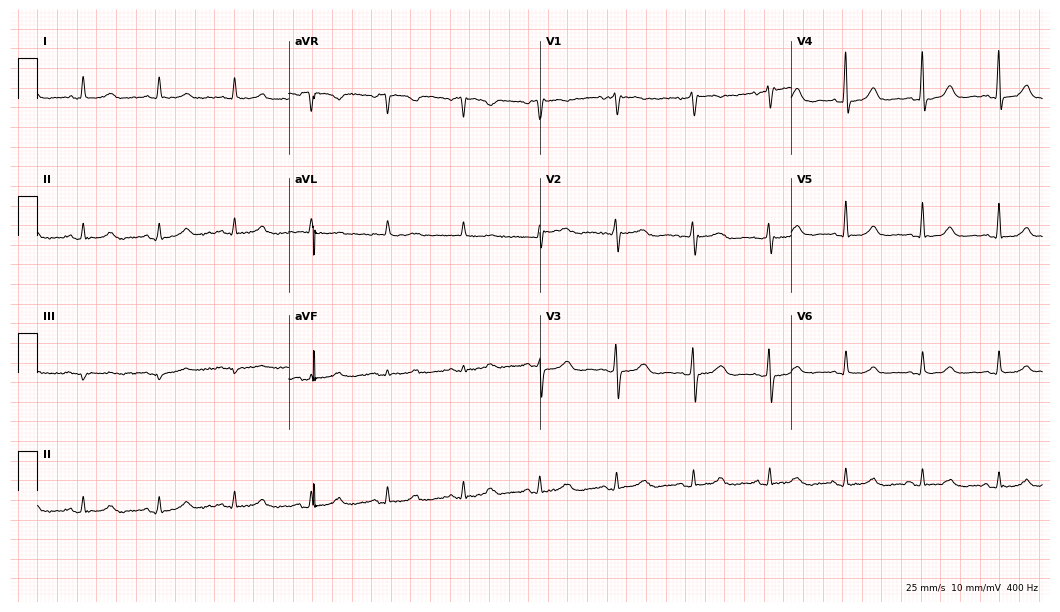
12-lead ECG (10.2-second recording at 400 Hz) from a 77-year-old female. Labelled as a normal ECG.